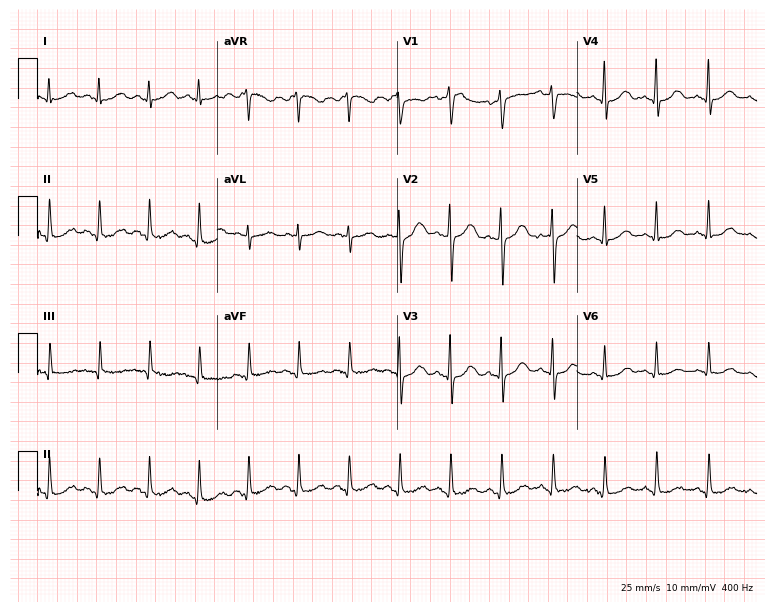
Resting 12-lead electrocardiogram (7.3-second recording at 400 Hz). Patient: a 47-year-old female. The tracing shows sinus tachycardia (a sinus rate of 100 beats per minute or more).